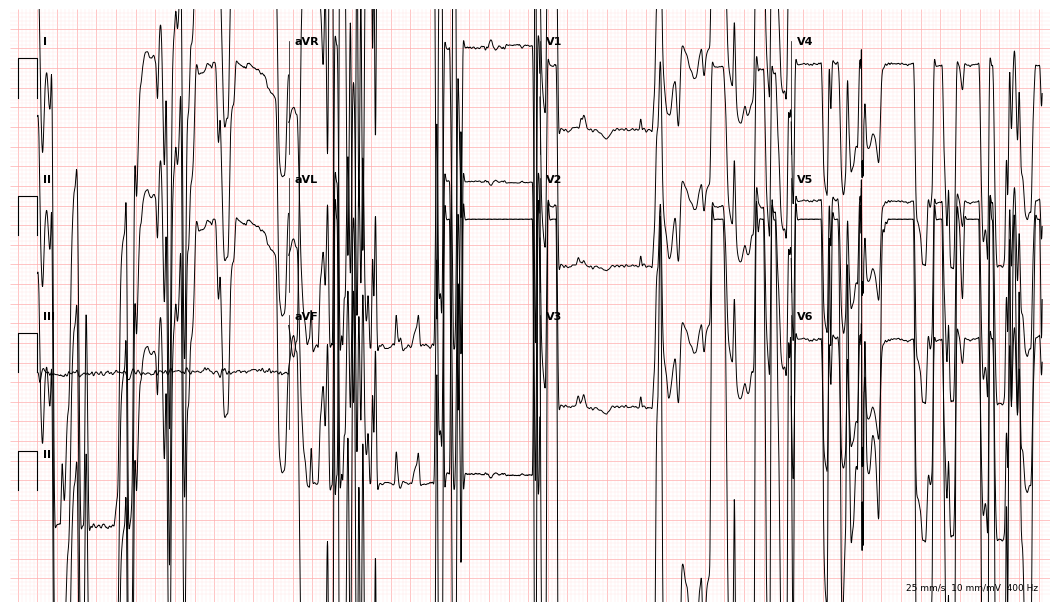
Resting 12-lead electrocardiogram (10.2-second recording at 400 Hz). Patient: a 76-year-old female. None of these six findings is recorded: first-degree AV block, right bundle branch block, left bundle branch block, sinus bradycardia, atrial fibrillation, sinus tachycardia. Findings outside these six are not listed.